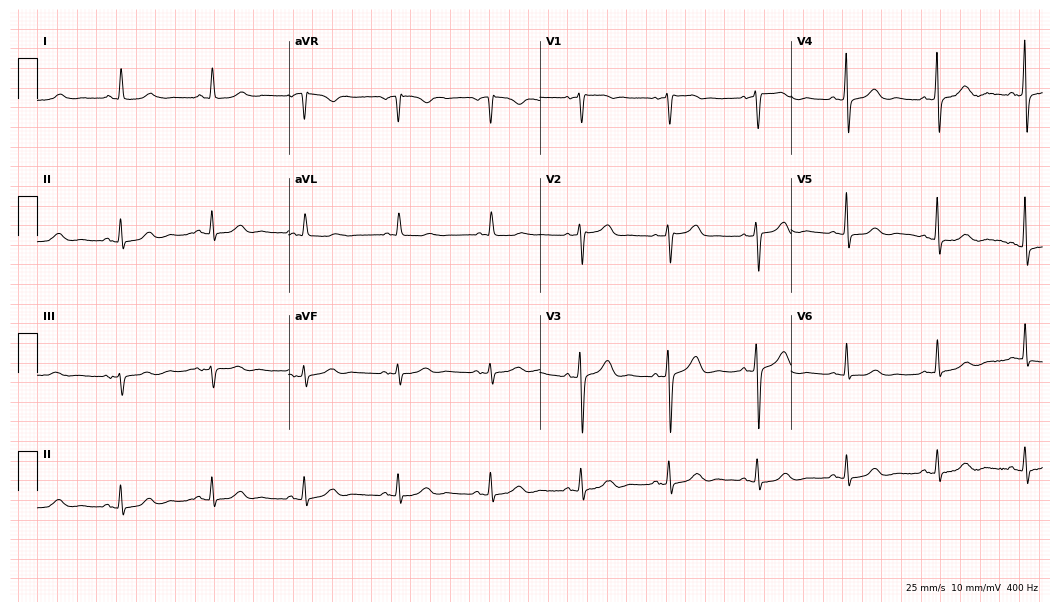
12-lead ECG (10.2-second recording at 400 Hz) from an 81-year-old man. Labelled as a normal ECG.